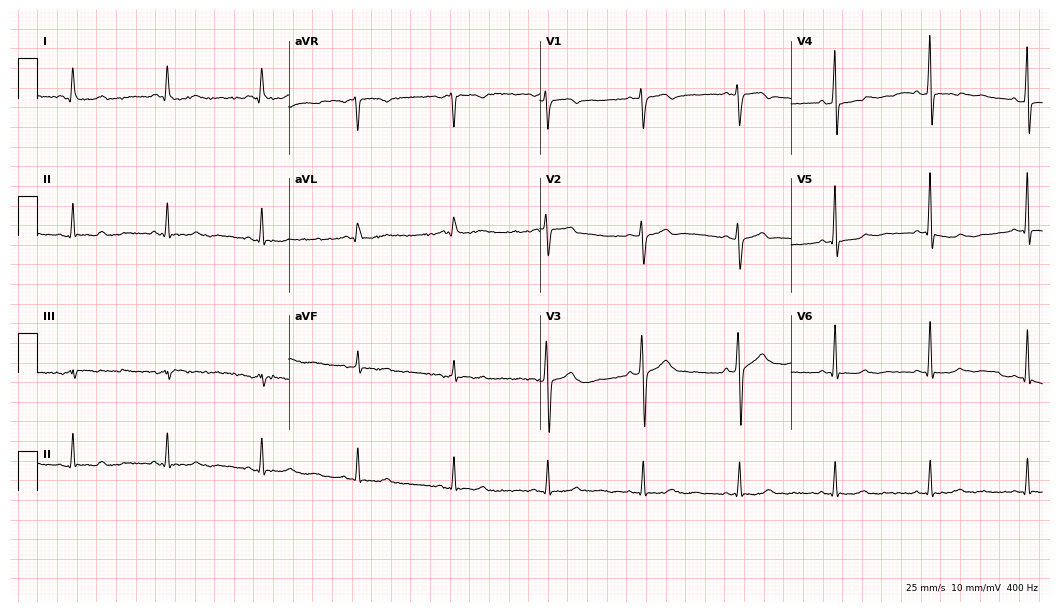
ECG (10.2-second recording at 400 Hz) — a 48-year-old female. Screened for six findings — first-degree AV block, right bundle branch block, left bundle branch block, sinus bradycardia, atrial fibrillation, sinus tachycardia — none is recorded. Only these six findings were labelled.